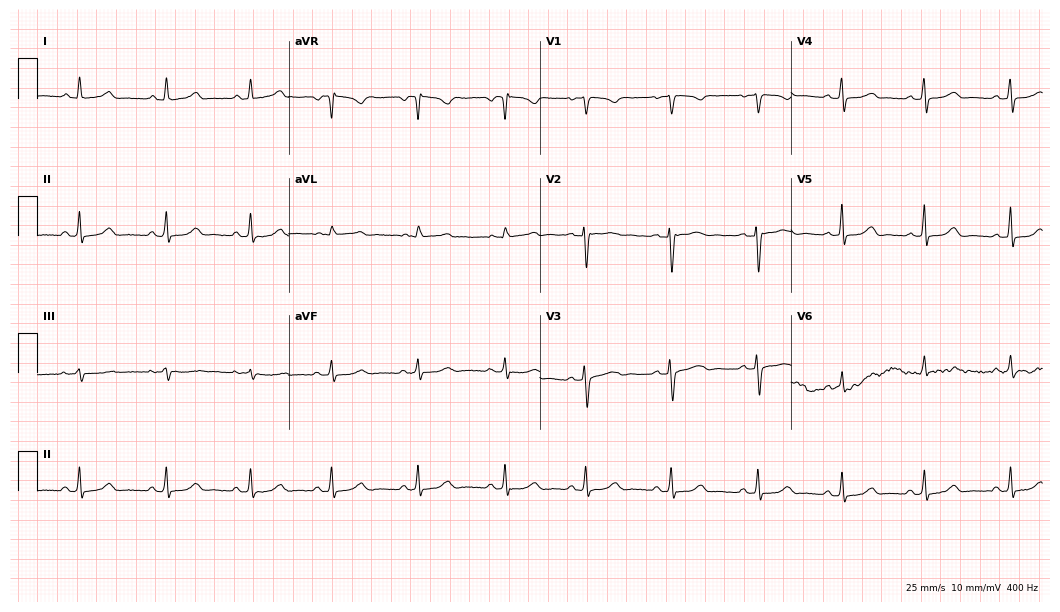
12-lead ECG from a 31-year-old woman. Recorded interpretation: within normal limits.